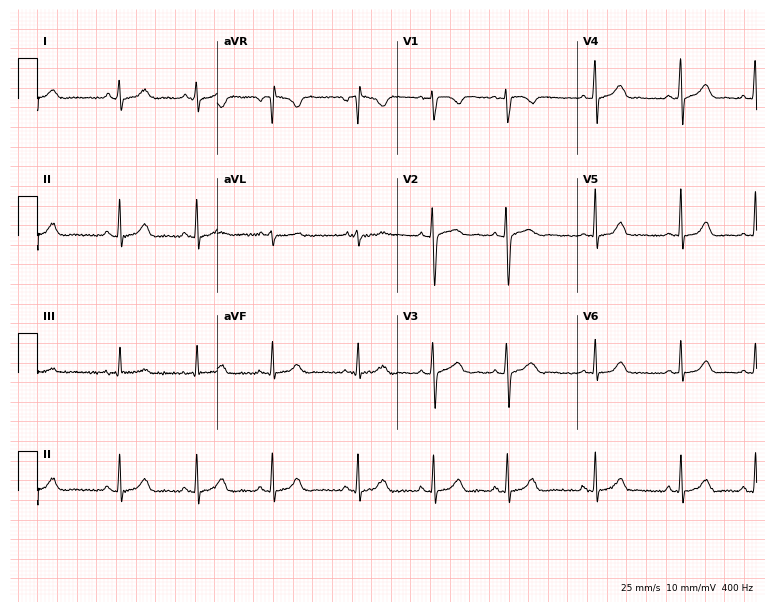
12-lead ECG from a 25-year-old female (7.3-second recording at 400 Hz). No first-degree AV block, right bundle branch block, left bundle branch block, sinus bradycardia, atrial fibrillation or sinus tachycardia recorded for this tracing. Findings outside these six are not listed.